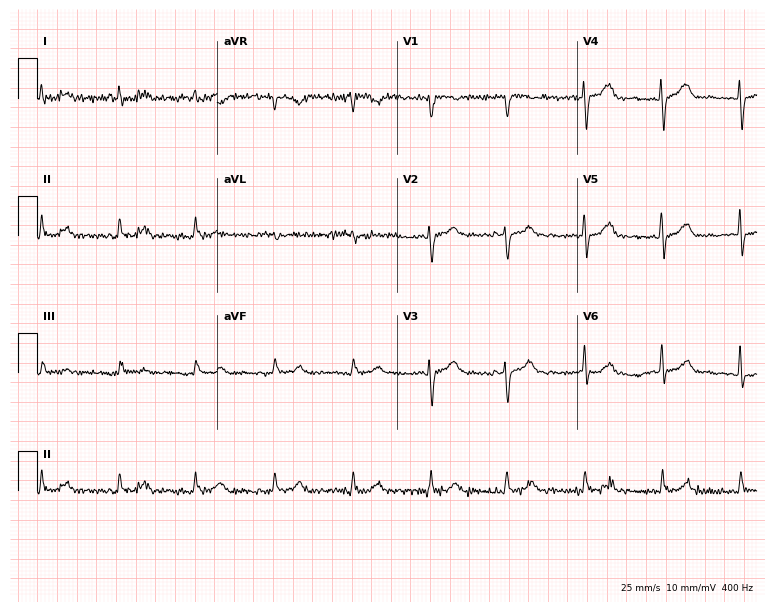
12-lead ECG (7.3-second recording at 400 Hz) from a 49-year-old woman. Screened for six findings — first-degree AV block, right bundle branch block (RBBB), left bundle branch block (LBBB), sinus bradycardia, atrial fibrillation (AF), sinus tachycardia — none is recorded. Findings outside these six are not listed.